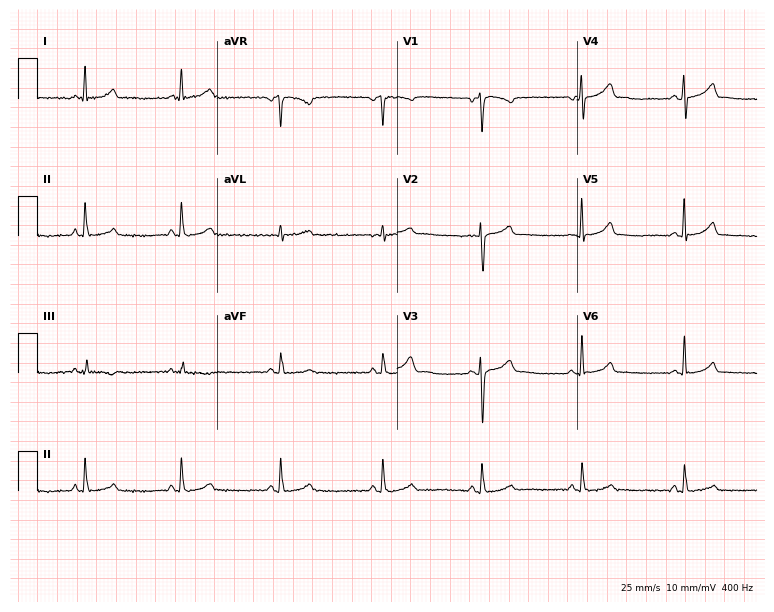
ECG — a man, 50 years old. Labelled as a normal ECG.